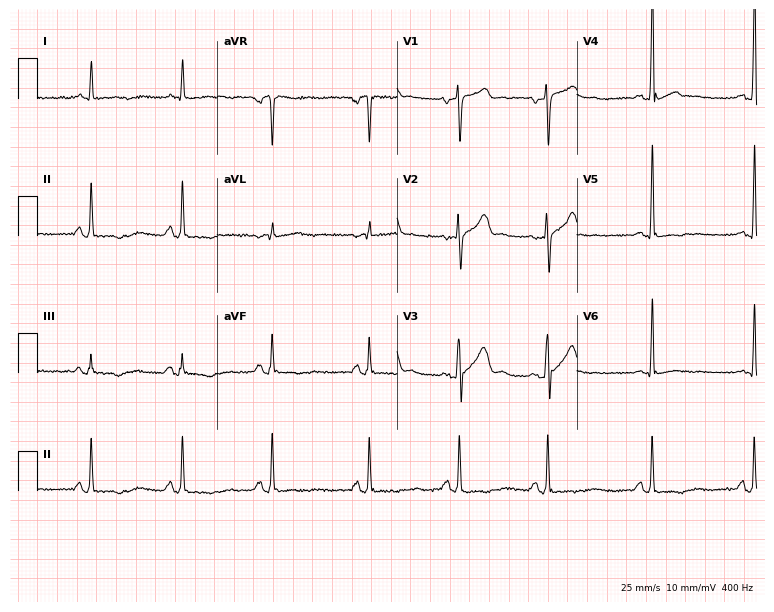
12-lead ECG from a male patient, 31 years old. Screened for six findings — first-degree AV block, right bundle branch block, left bundle branch block, sinus bradycardia, atrial fibrillation, sinus tachycardia — none is recorded. Other findings, if any, are not listed.